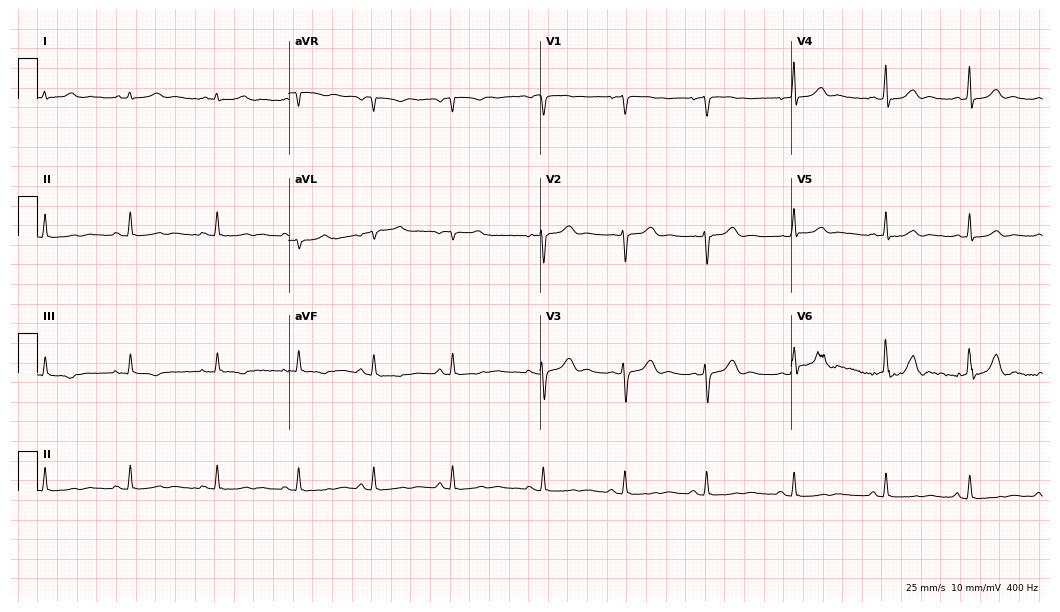
Standard 12-lead ECG recorded from a female, 22 years old (10.2-second recording at 400 Hz). None of these six findings is recorded: first-degree AV block, right bundle branch block, left bundle branch block, sinus bradycardia, atrial fibrillation, sinus tachycardia. Only these six findings were labelled.